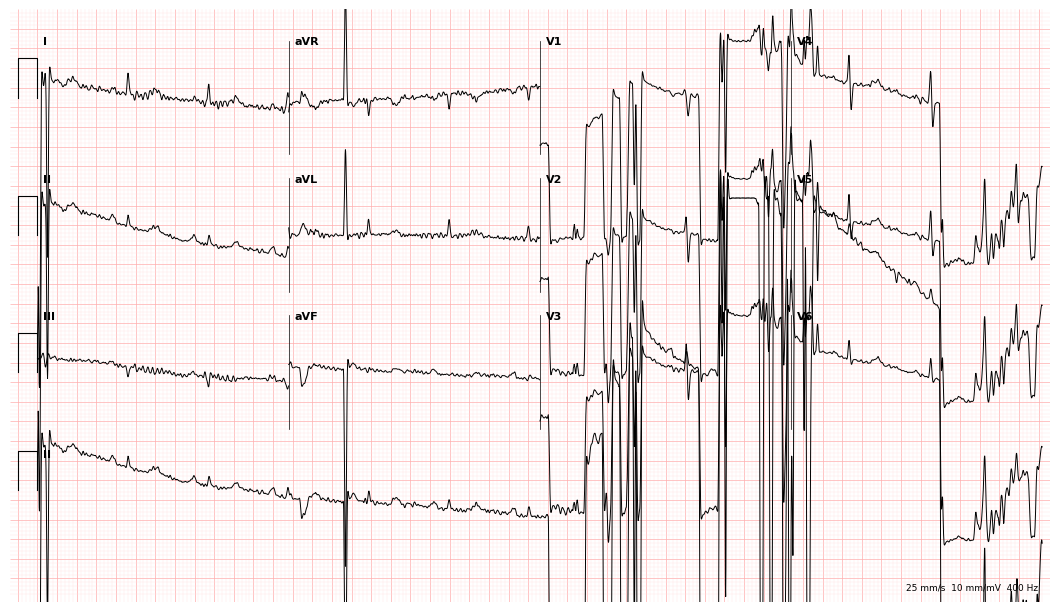
12-lead ECG from a 66-year-old male (10.2-second recording at 400 Hz). No first-degree AV block, right bundle branch block (RBBB), left bundle branch block (LBBB), sinus bradycardia, atrial fibrillation (AF) or sinus tachycardia recorded for this tracing. Findings outside these six are not listed.